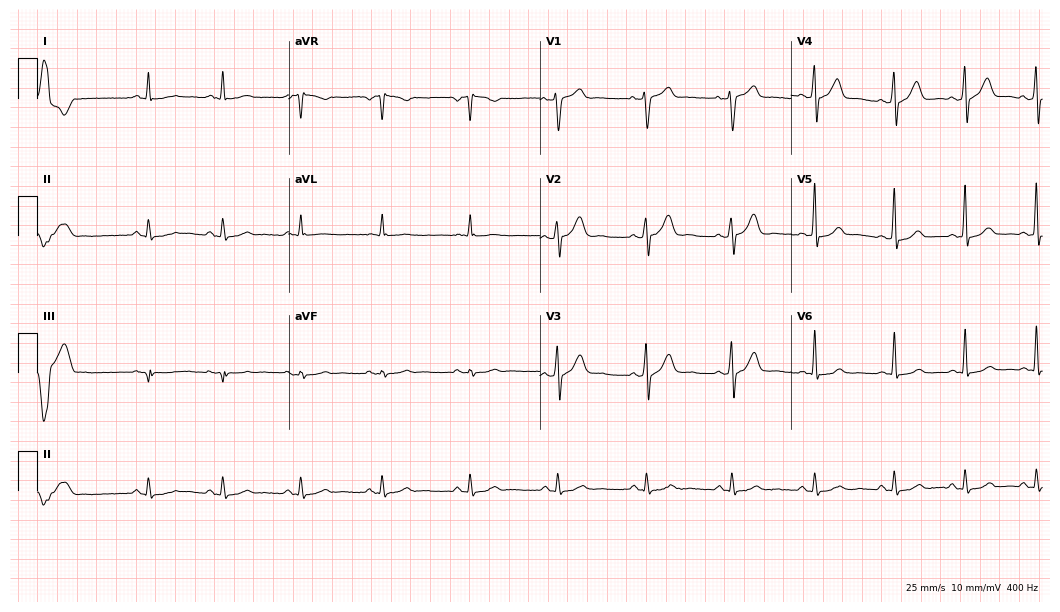
12-lead ECG from a 50-year-old man. Screened for six findings — first-degree AV block, right bundle branch block (RBBB), left bundle branch block (LBBB), sinus bradycardia, atrial fibrillation (AF), sinus tachycardia — none is recorded.